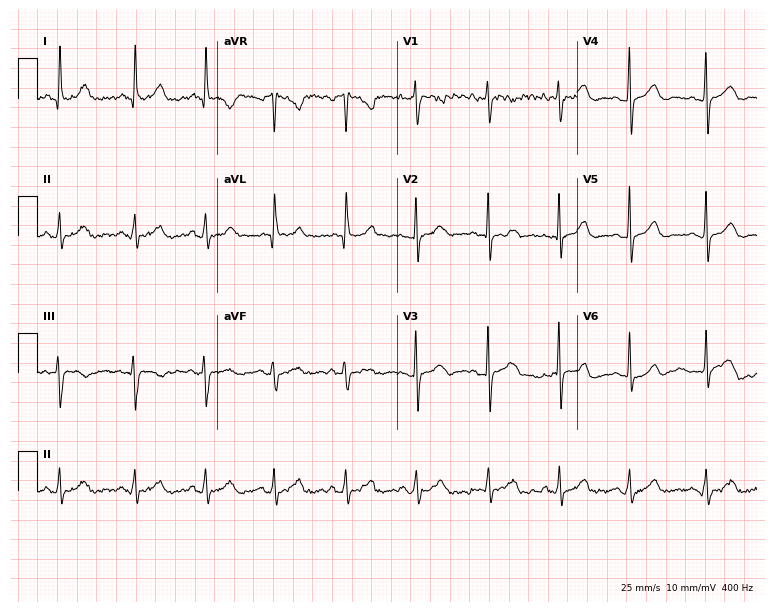
Standard 12-lead ECG recorded from a female, 33 years old. Read as a normal ECG.